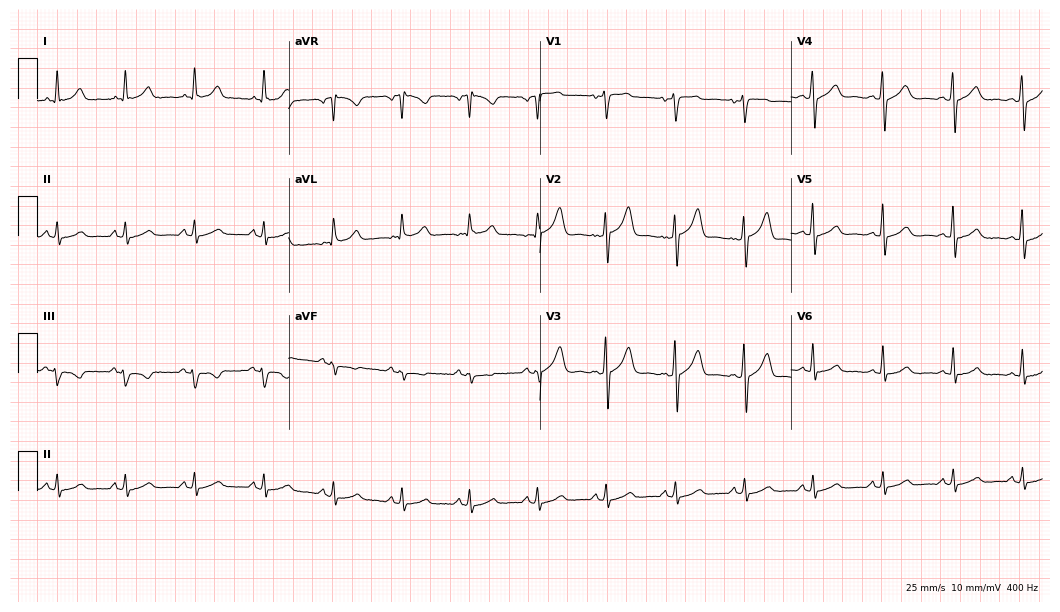
12-lead ECG from a male patient, 52 years old. Recorded interpretation: within normal limits.